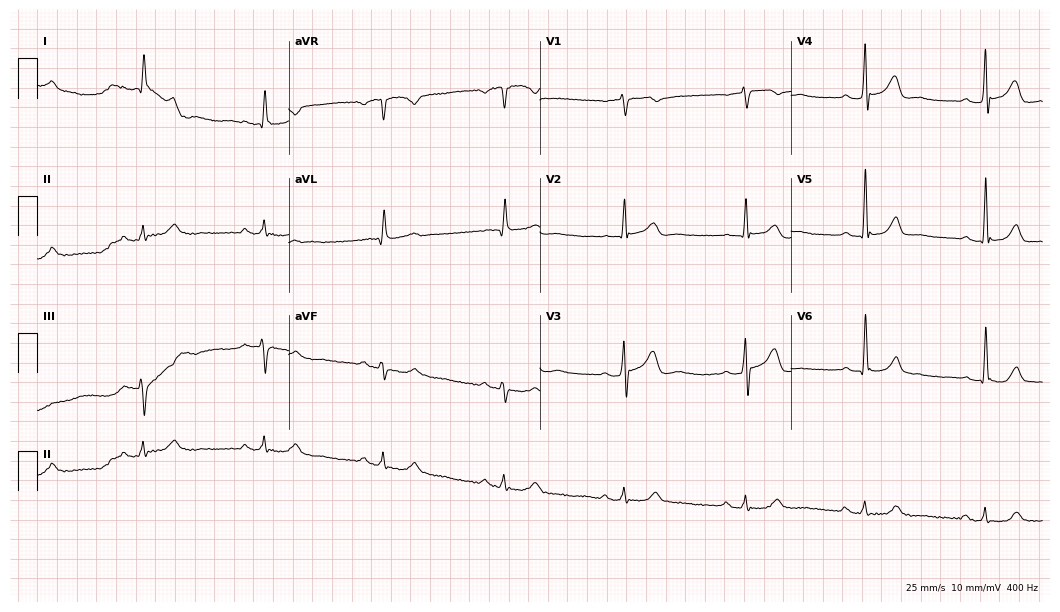
ECG — a 75-year-old man. Findings include sinus bradycardia (a sinus rate of 50 beats per minute or less).